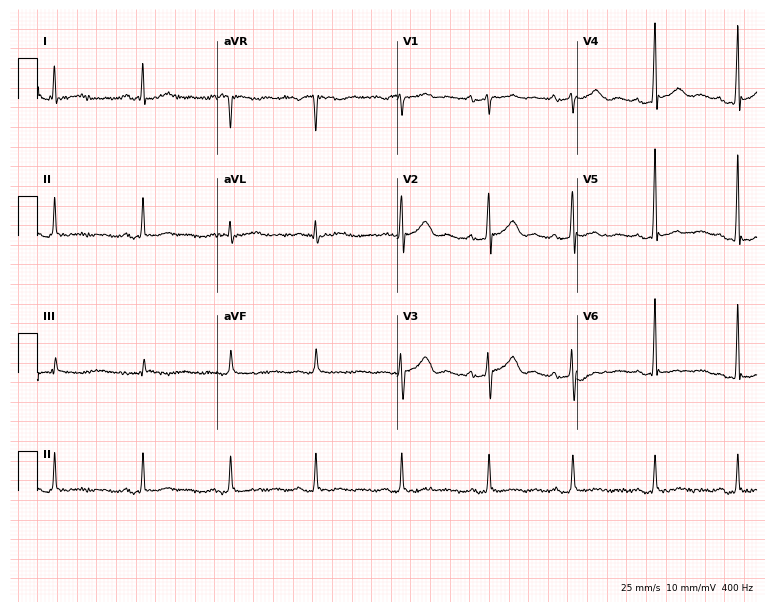
Standard 12-lead ECG recorded from a male patient, 48 years old (7.3-second recording at 400 Hz). None of these six findings is recorded: first-degree AV block, right bundle branch block, left bundle branch block, sinus bradycardia, atrial fibrillation, sinus tachycardia. Other findings, if any, are not listed.